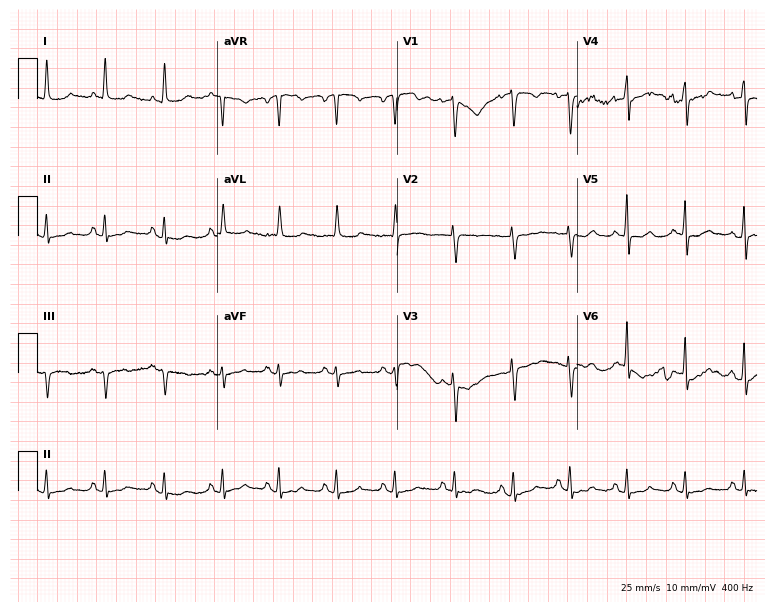
Electrocardiogram (7.3-second recording at 400 Hz), a female, 85 years old. Of the six screened findings (first-degree AV block, right bundle branch block (RBBB), left bundle branch block (LBBB), sinus bradycardia, atrial fibrillation (AF), sinus tachycardia), none is recorded. Only these six findings were labelled.